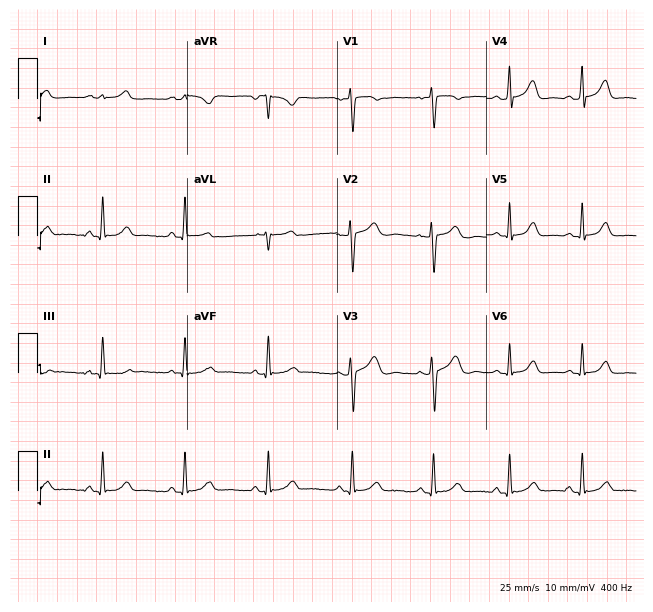
12-lead ECG from a 31-year-old female (6.1-second recording at 400 Hz). Recorded interpretation: within normal limits.